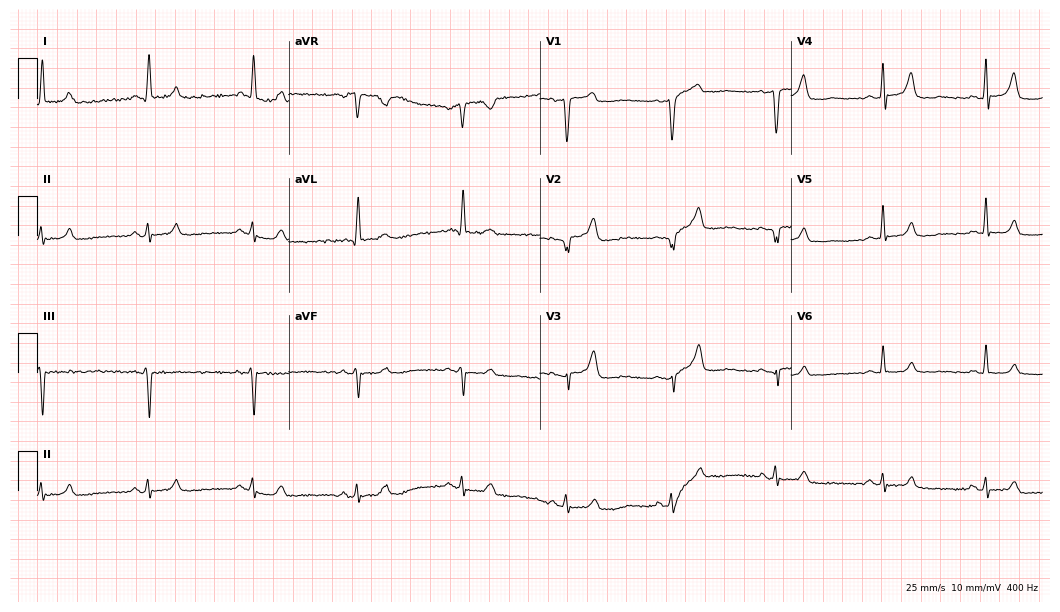
Electrocardiogram, a female patient, 66 years old. Of the six screened findings (first-degree AV block, right bundle branch block, left bundle branch block, sinus bradycardia, atrial fibrillation, sinus tachycardia), none is recorded. Only these six findings were labelled.